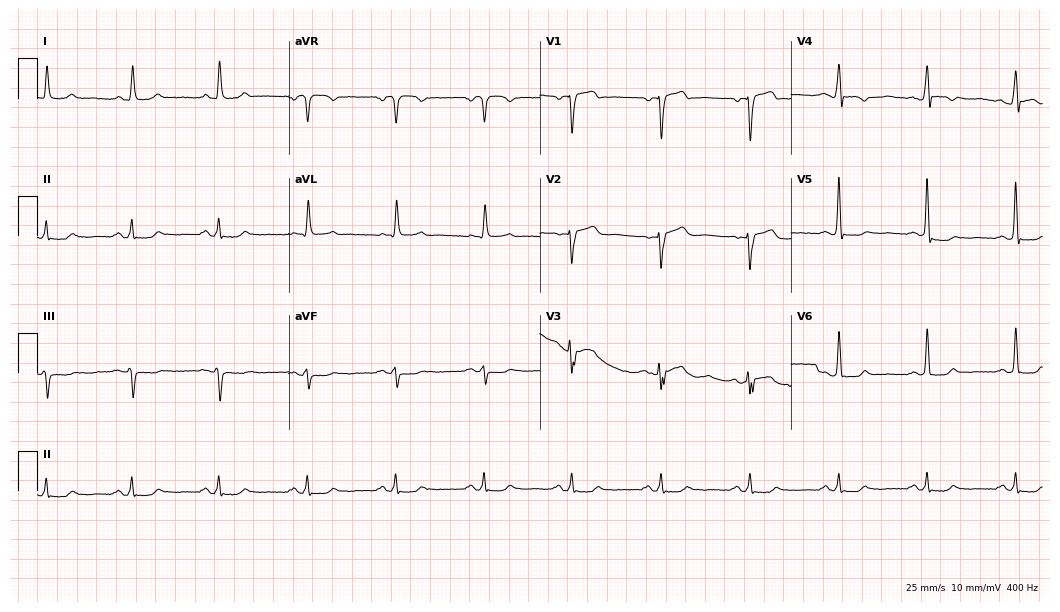
12-lead ECG (10.2-second recording at 400 Hz) from a male, 52 years old. Screened for six findings — first-degree AV block, right bundle branch block (RBBB), left bundle branch block (LBBB), sinus bradycardia, atrial fibrillation (AF), sinus tachycardia — none is recorded.